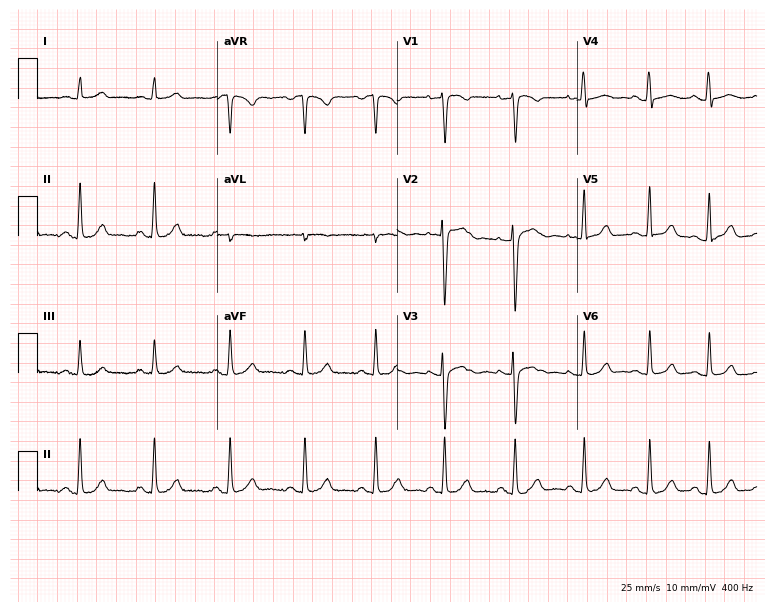
Standard 12-lead ECG recorded from a 19-year-old female patient. Read as a normal ECG.